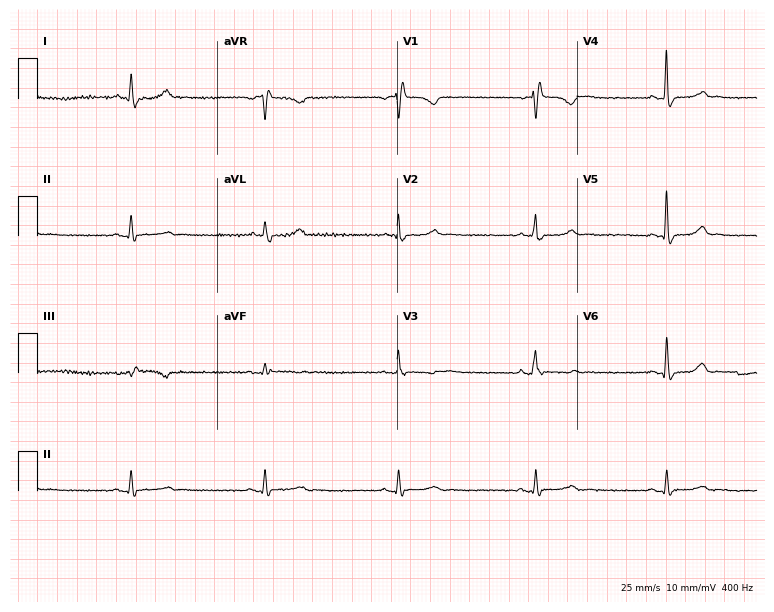
Electrocardiogram, a 39-year-old female. Interpretation includes right bundle branch block (RBBB), sinus bradycardia (a sinus rate of 50 beats per minute or less).